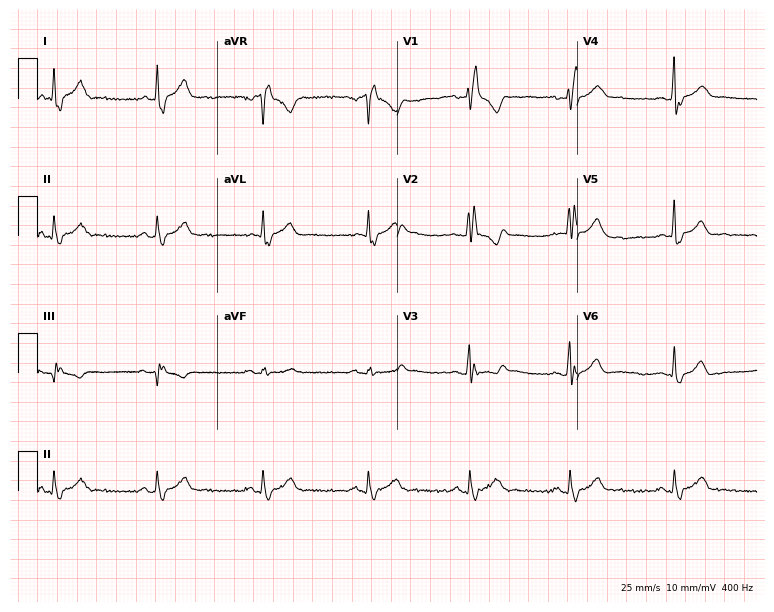
Electrocardiogram (7.3-second recording at 400 Hz), a man, 40 years old. Interpretation includes right bundle branch block.